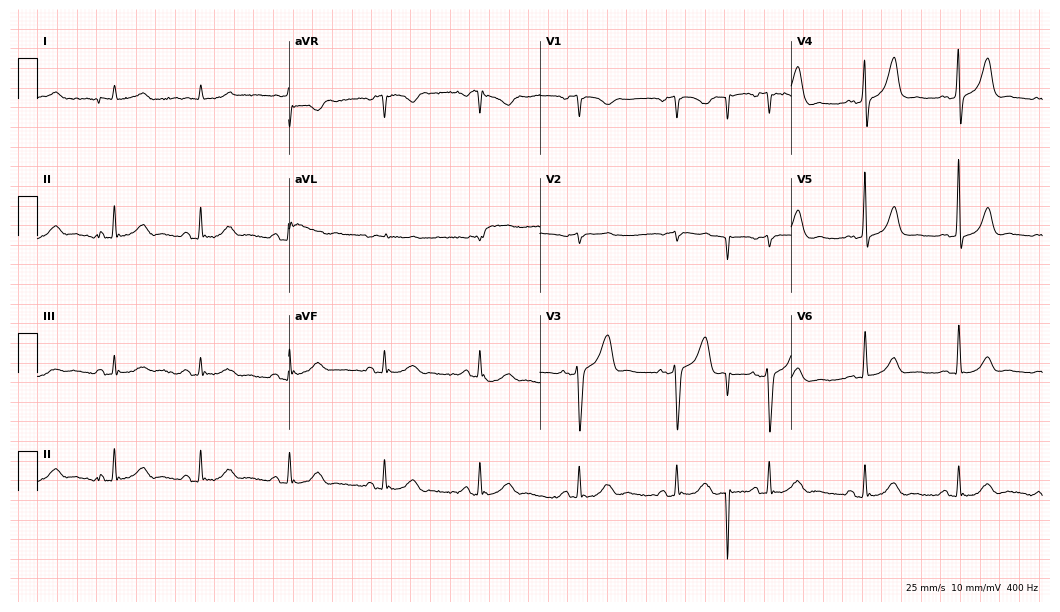
Electrocardiogram (10.2-second recording at 400 Hz), an 80-year-old male patient. Of the six screened findings (first-degree AV block, right bundle branch block, left bundle branch block, sinus bradycardia, atrial fibrillation, sinus tachycardia), none is recorded. Only these six findings were labelled.